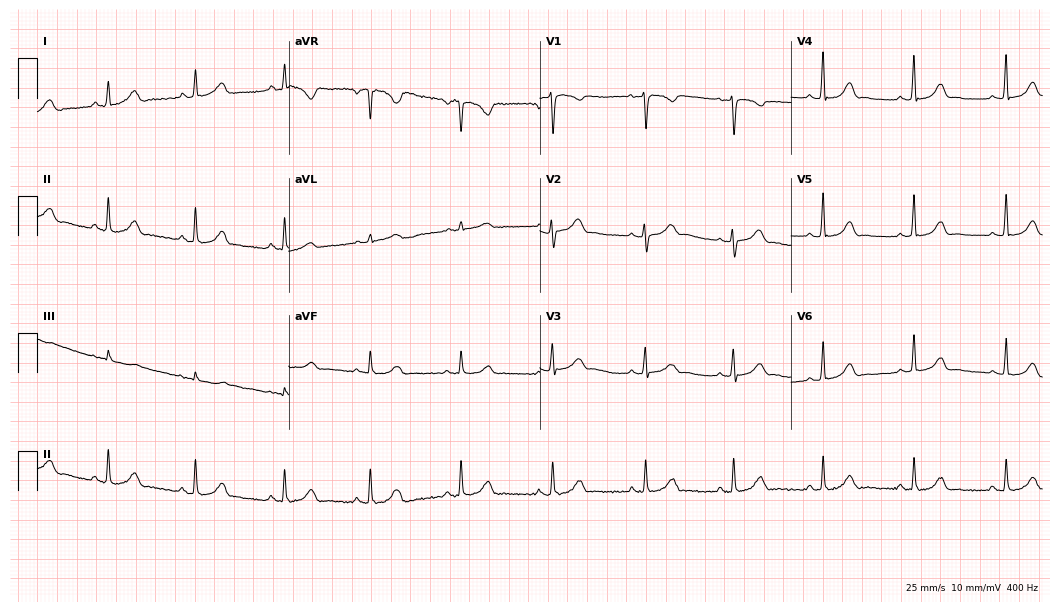
12-lead ECG from a female, 33 years old (10.2-second recording at 400 Hz). Recorded interpretation: within normal limits.